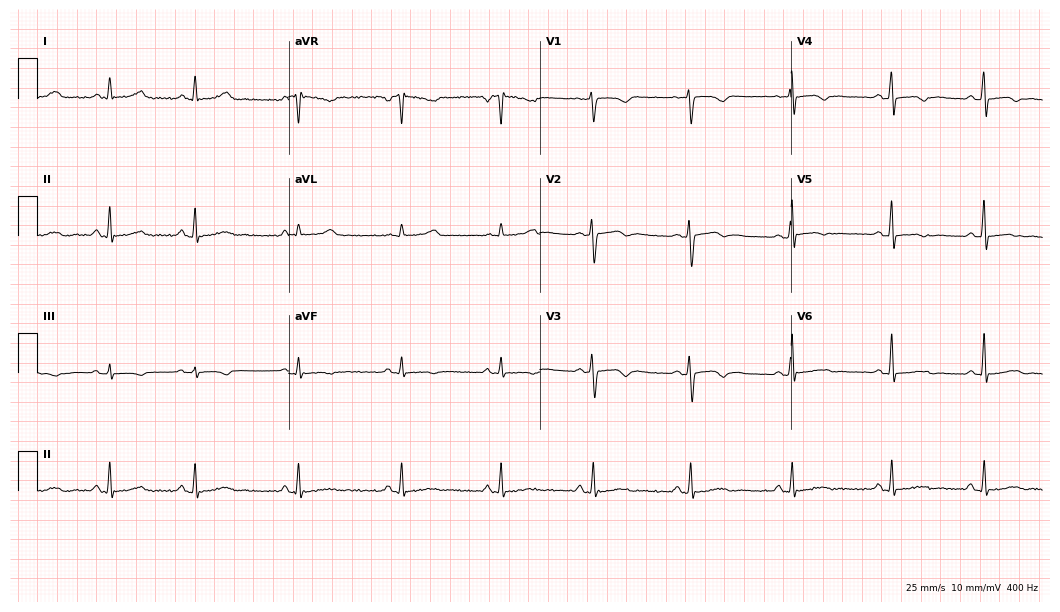
ECG — a 50-year-old woman. Screened for six findings — first-degree AV block, right bundle branch block (RBBB), left bundle branch block (LBBB), sinus bradycardia, atrial fibrillation (AF), sinus tachycardia — none is recorded.